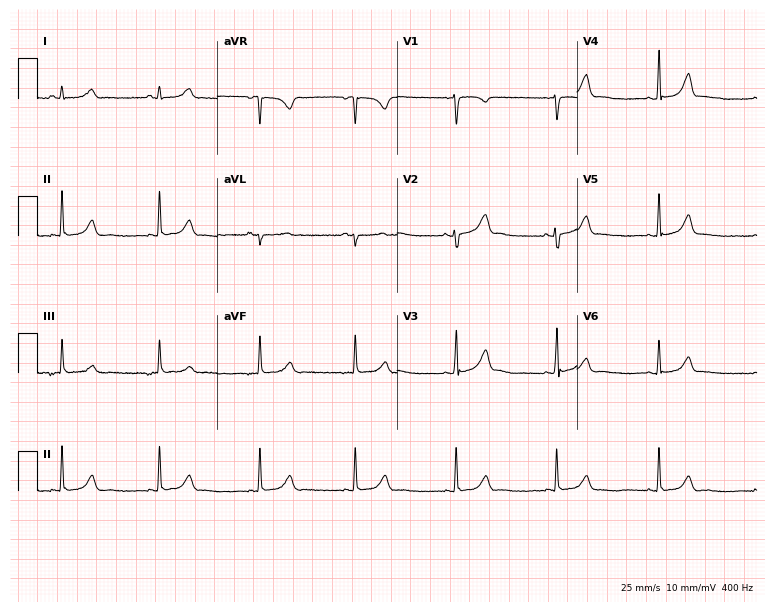
Resting 12-lead electrocardiogram (7.3-second recording at 400 Hz). Patient: a 28-year-old female. Read as a normal ECG.